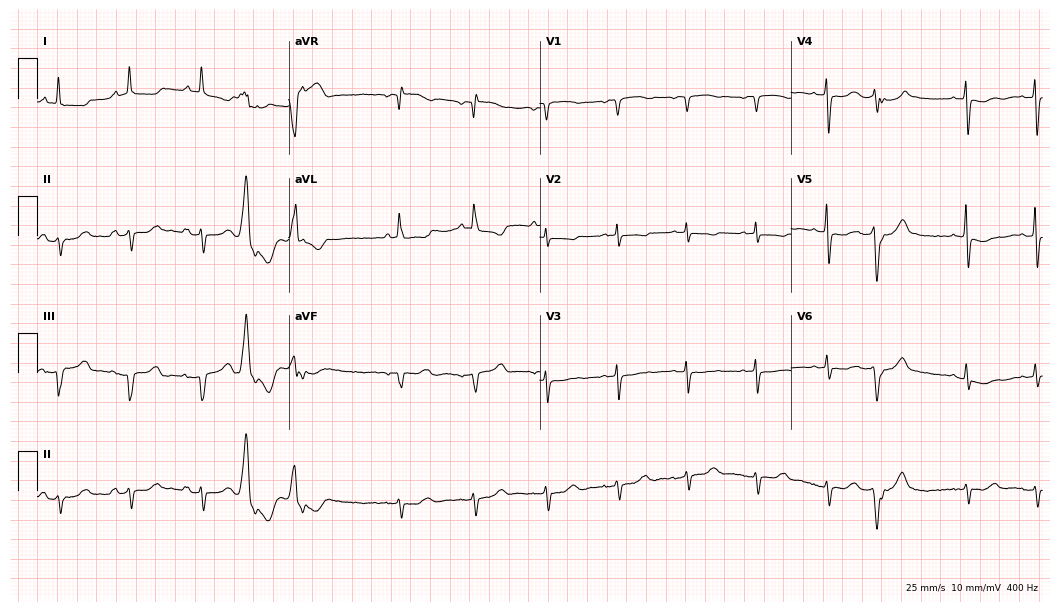
Resting 12-lead electrocardiogram (10.2-second recording at 400 Hz). Patient: a woman, 85 years old. None of these six findings is recorded: first-degree AV block, right bundle branch block, left bundle branch block, sinus bradycardia, atrial fibrillation, sinus tachycardia. Only these six findings were labelled.